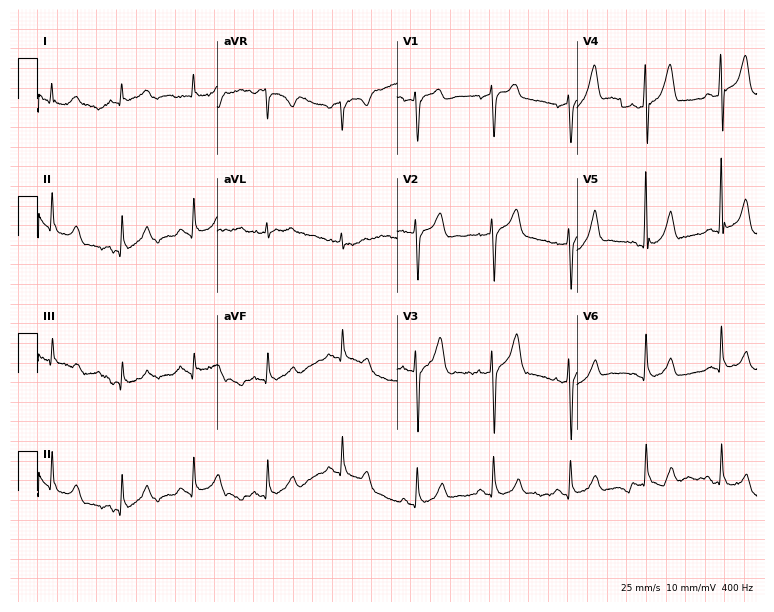
12-lead ECG from a 64-year-old man. Screened for six findings — first-degree AV block, right bundle branch block, left bundle branch block, sinus bradycardia, atrial fibrillation, sinus tachycardia — none is recorded.